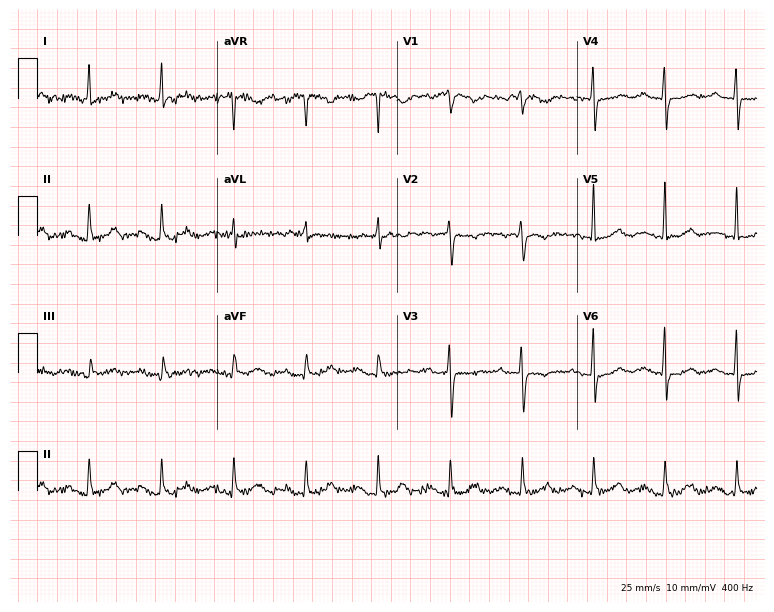
Standard 12-lead ECG recorded from a 65-year-old woman (7.3-second recording at 400 Hz). None of these six findings is recorded: first-degree AV block, right bundle branch block, left bundle branch block, sinus bradycardia, atrial fibrillation, sinus tachycardia.